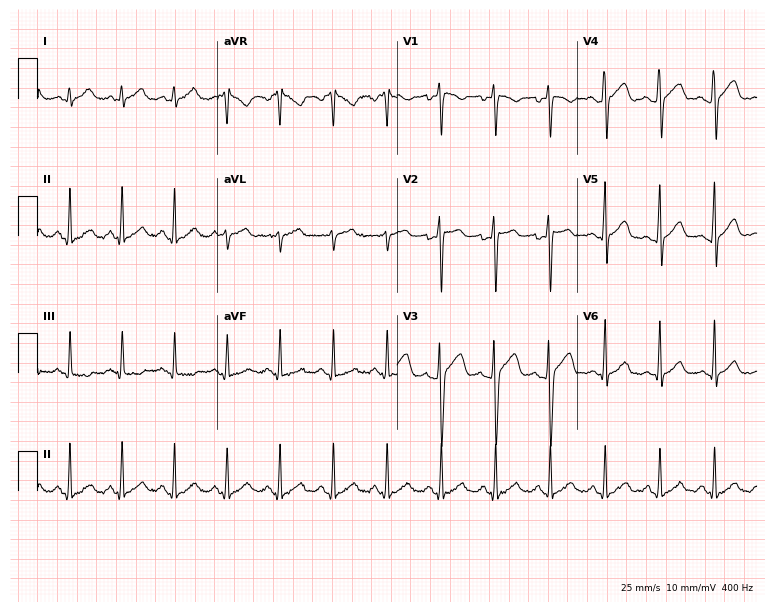
Resting 12-lead electrocardiogram. Patient: a 28-year-old male. The tracing shows sinus tachycardia (a sinus rate of 100 beats per minute or more).